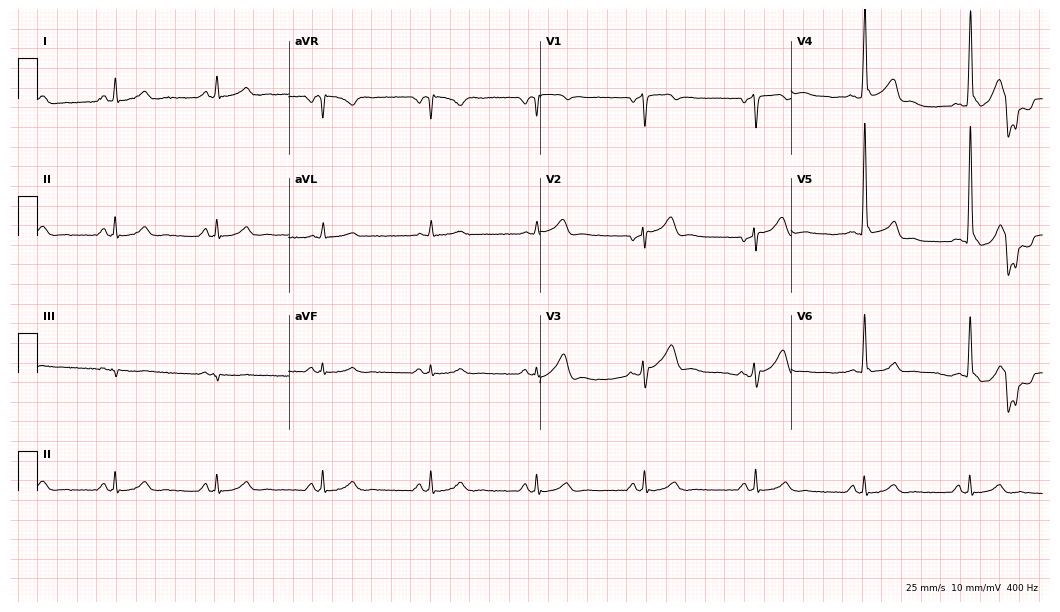
Resting 12-lead electrocardiogram. Patient: a male, 54 years old. None of these six findings is recorded: first-degree AV block, right bundle branch block, left bundle branch block, sinus bradycardia, atrial fibrillation, sinus tachycardia.